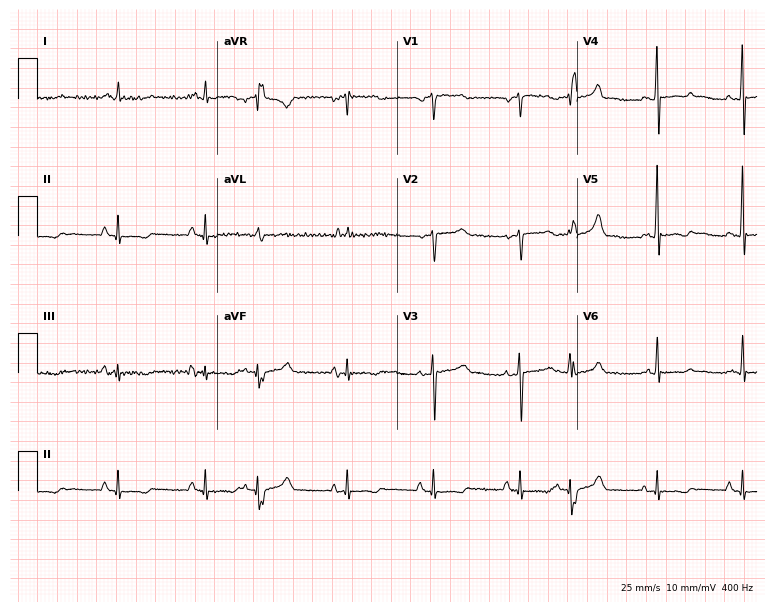
ECG (7.3-second recording at 400 Hz) — a male, 59 years old. Screened for six findings — first-degree AV block, right bundle branch block (RBBB), left bundle branch block (LBBB), sinus bradycardia, atrial fibrillation (AF), sinus tachycardia — none is recorded. Only these six findings were labelled.